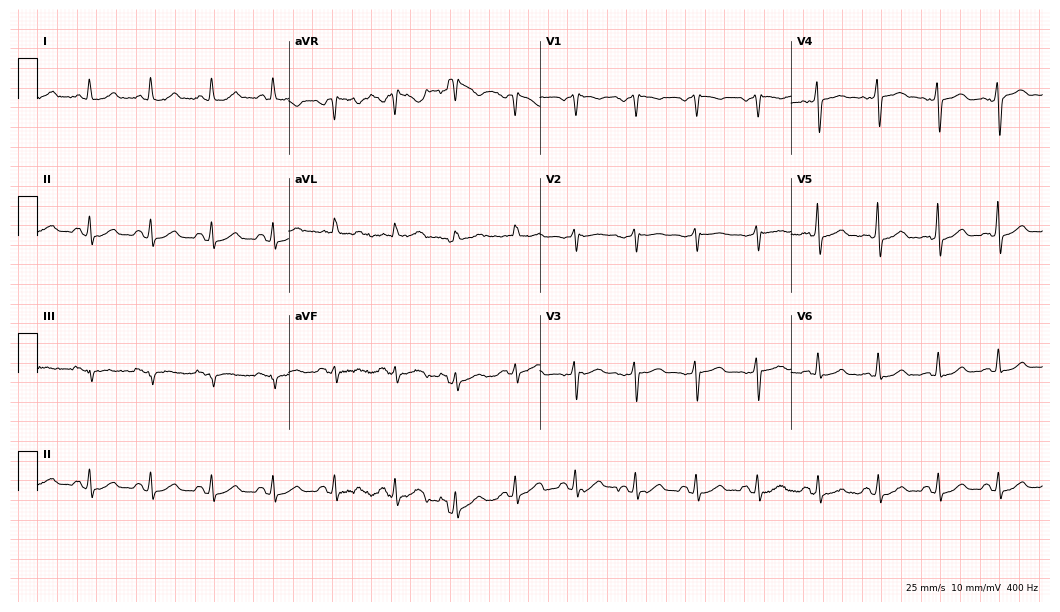
ECG (10.2-second recording at 400 Hz) — a female patient, 57 years old. Screened for six findings — first-degree AV block, right bundle branch block, left bundle branch block, sinus bradycardia, atrial fibrillation, sinus tachycardia — none is recorded. Findings outside these six are not listed.